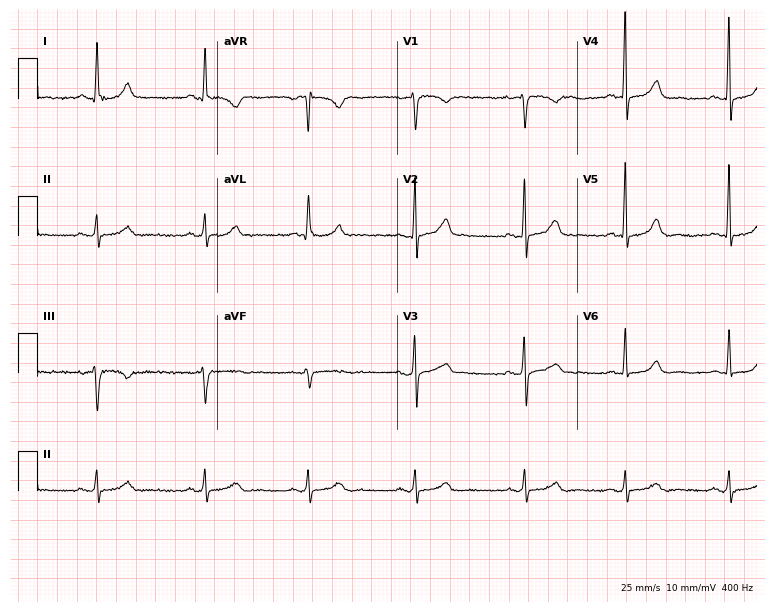
12-lead ECG from a female, 56 years old. Screened for six findings — first-degree AV block, right bundle branch block, left bundle branch block, sinus bradycardia, atrial fibrillation, sinus tachycardia — none is recorded.